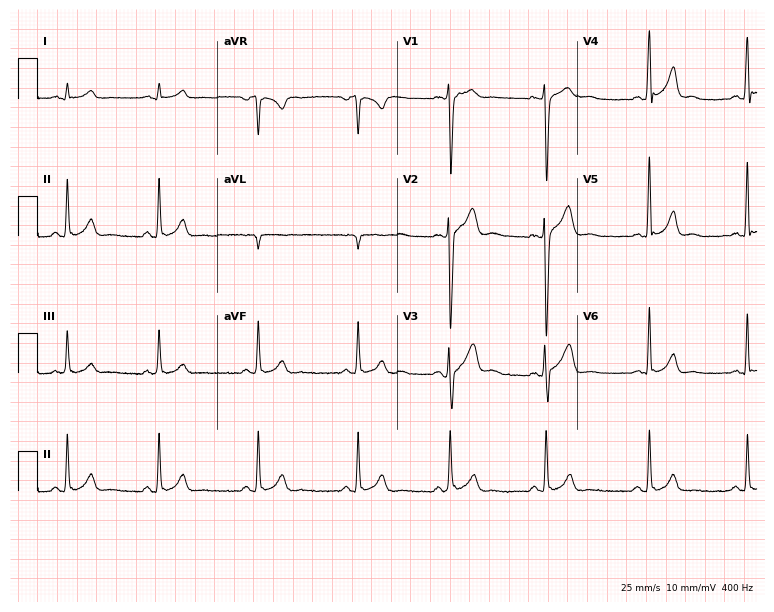
ECG (7.3-second recording at 400 Hz) — a man, 34 years old. Labelled as a normal ECG.